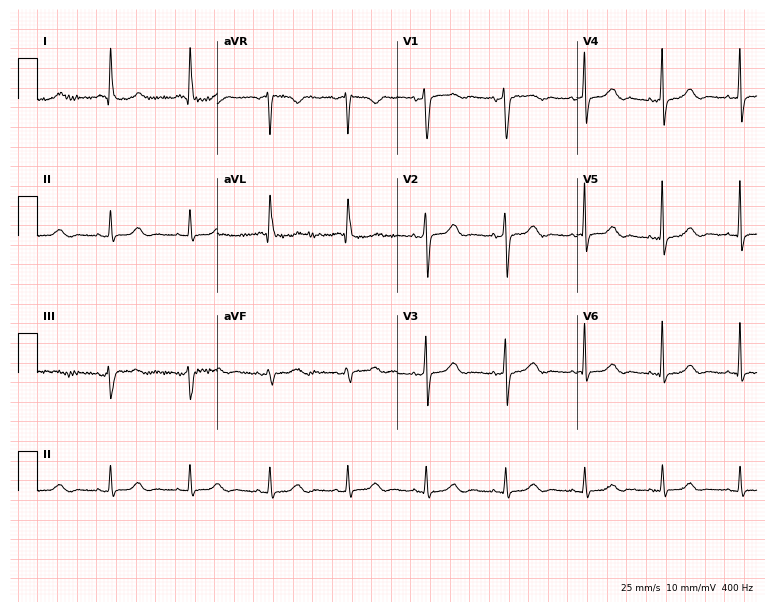
Resting 12-lead electrocardiogram. Patient: a female, 64 years old. Read as a normal ECG.